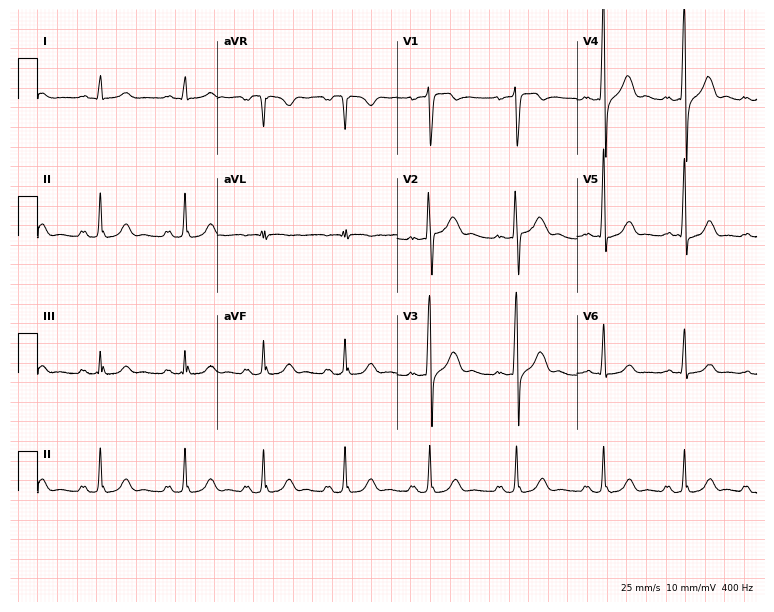
12-lead ECG (7.3-second recording at 400 Hz) from a 22-year-old male. Screened for six findings — first-degree AV block, right bundle branch block, left bundle branch block, sinus bradycardia, atrial fibrillation, sinus tachycardia — none is recorded. Other findings, if any, are not listed.